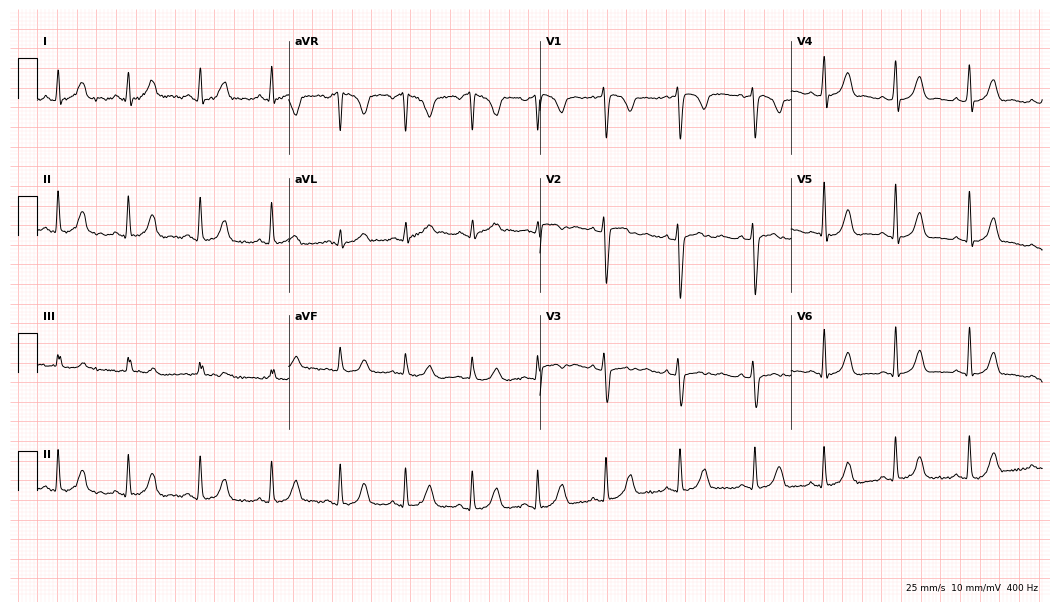
12-lead ECG from a female, 38 years old. Labelled as a normal ECG.